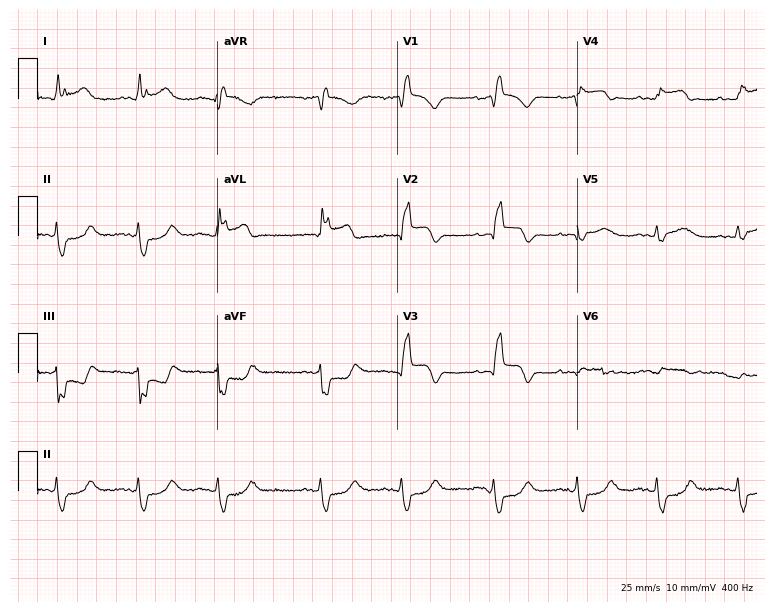
12-lead ECG from a female, 70 years old (7.3-second recording at 400 Hz). Shows right bundle branch block (RBBB).